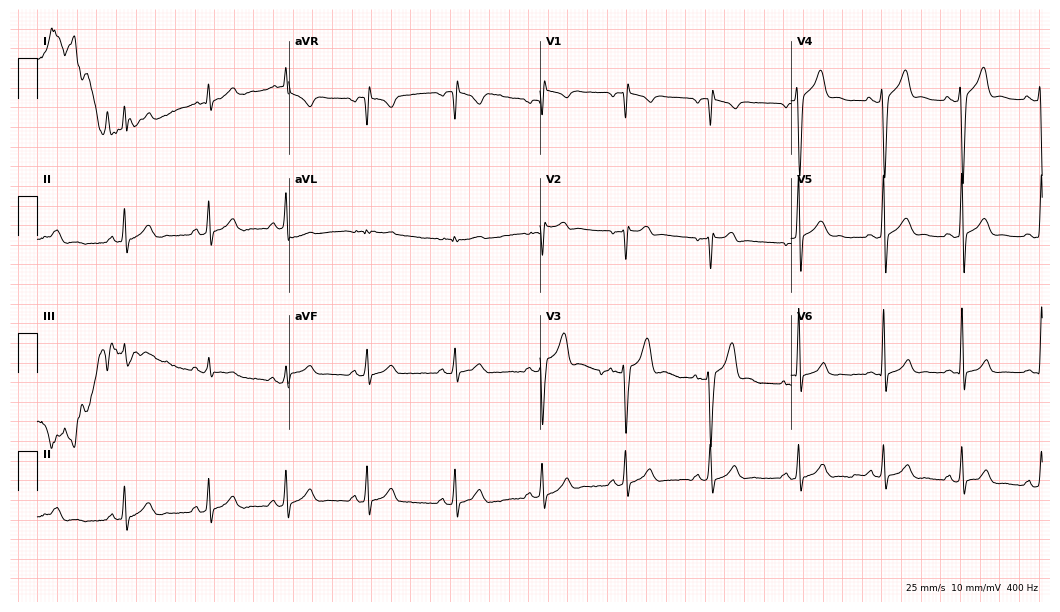
12-lead ECG from a 19-year-old male (10.2-second recording at 400 Hz). Recorded interpretation: within normal limits.